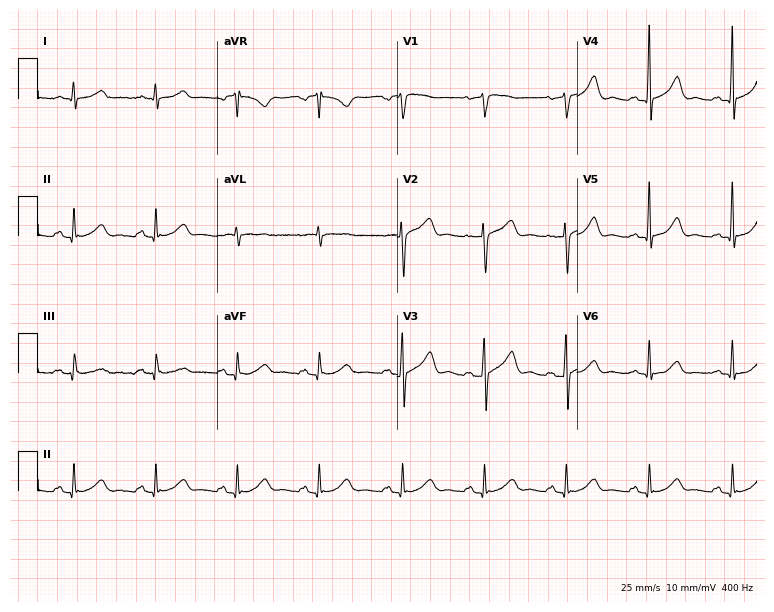
12-lead ECG from a 75-year-old man (7.3-second recording at 400 Hz). Recorded interpretation: within normal limits.